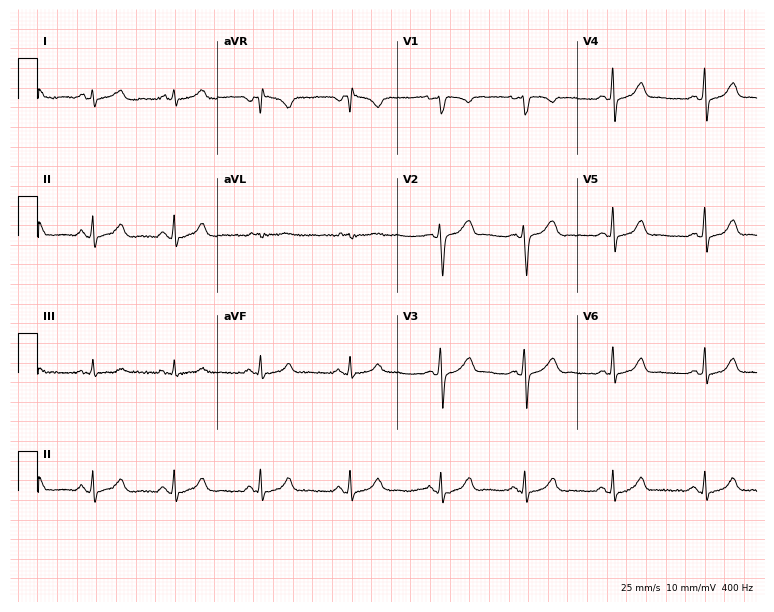
Resting 12-lead electrocardiogram. Patient: a female, 32 years old. Read as a normal ECG.